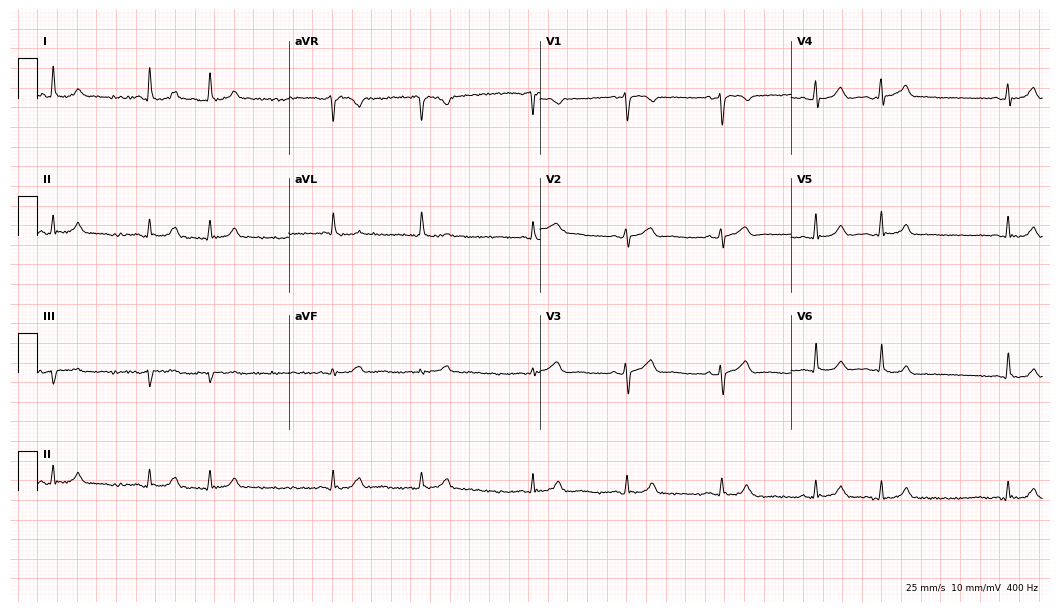
12-lead ECG from a 69-year-old female (10.2-second recording at 400 Hz). Recorded interpretation: within normal limits.